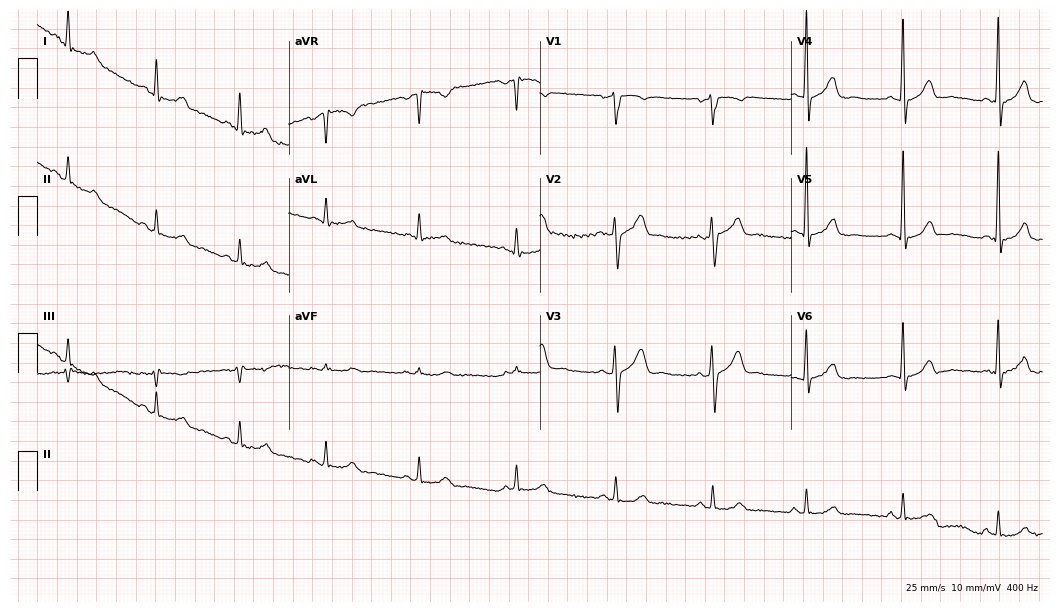
Standard 12-lead ECG recorded from a man, 47 years old. Read as a normal ECG.